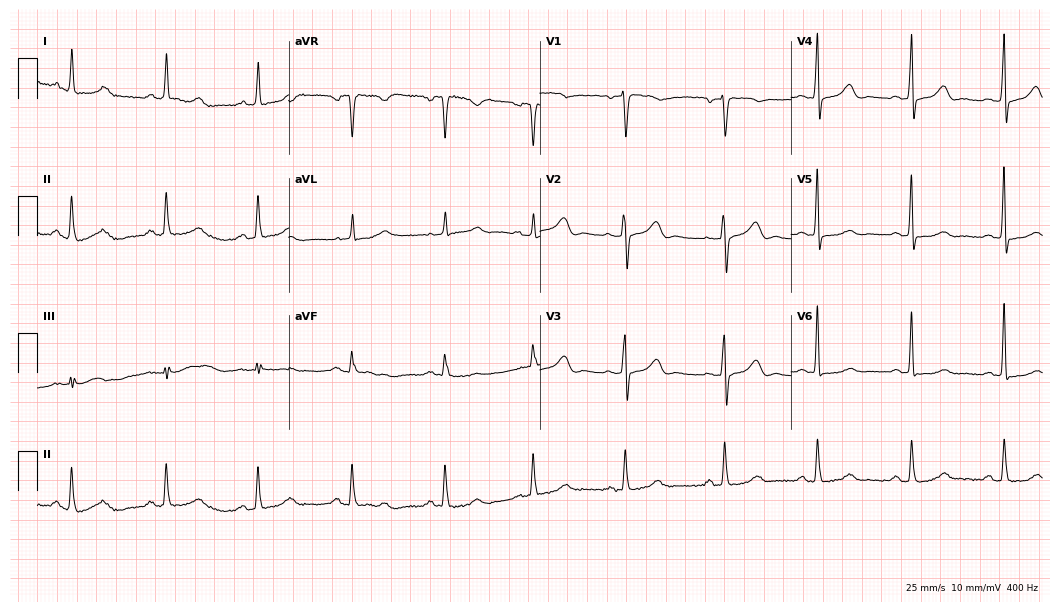
ECG — a female, 72 years old. Labelled as a normal ECG.